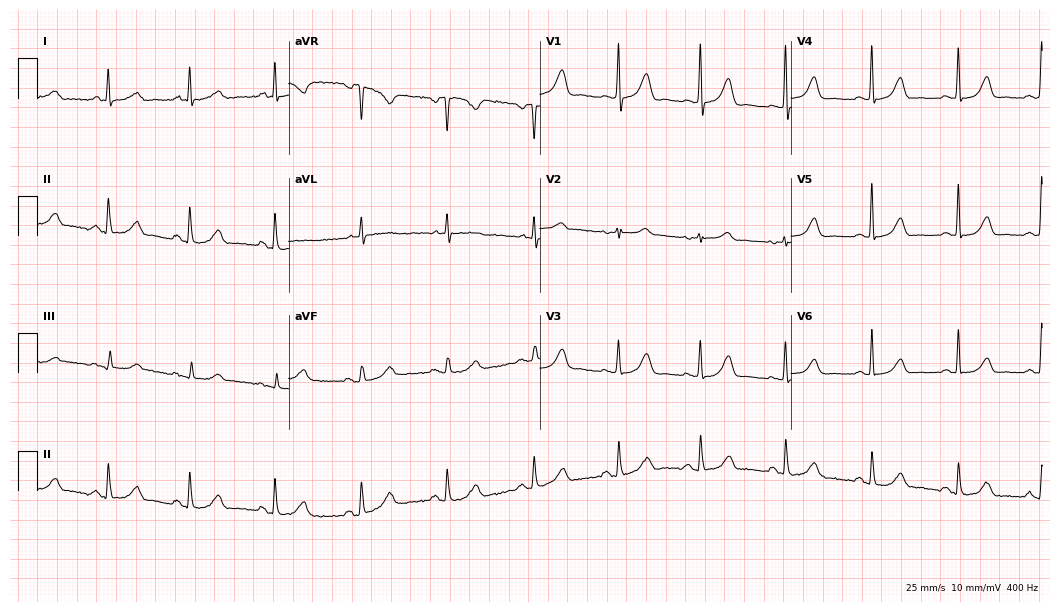
12-lead ECG (10.2-second recording at 400 Hz) from a female patient, 71 years old. Labelled as a normal ECG.